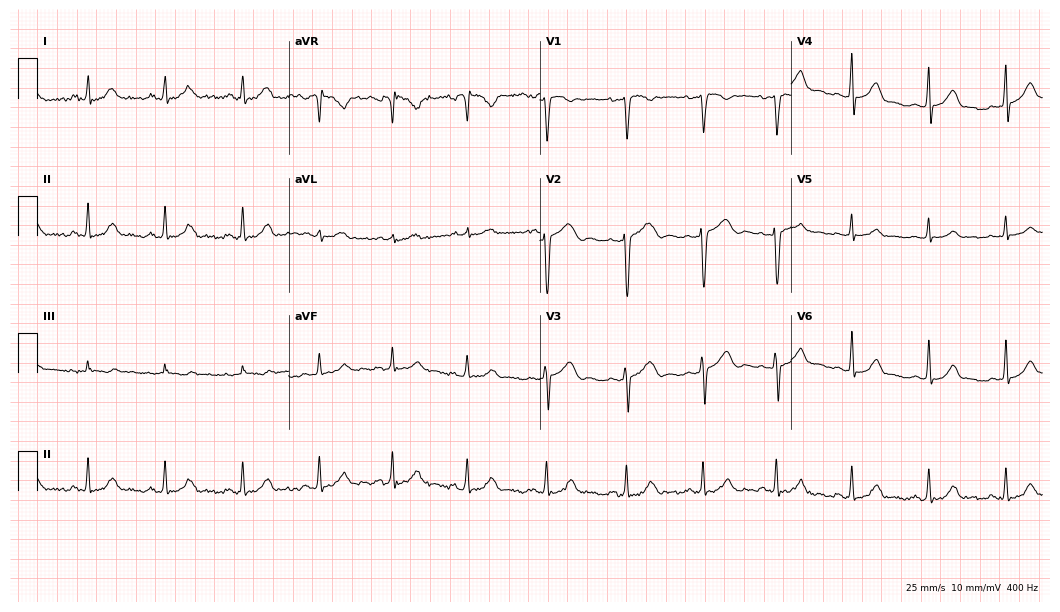
Electrocardiogram, a male, 28 years old. Overall reading on record: normal ECG.